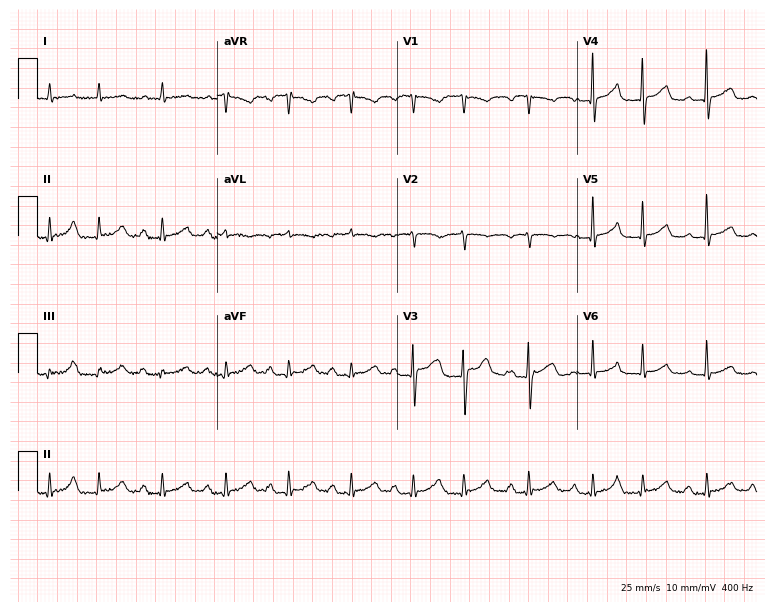
12-lead ECG from a man, 81 years old. Screened for six findings — first-degree AV block, right bundle branch block, left bundle branch block, sinus bradycardia, atrial fibrillation, sinus tachycardia — none is recorded.